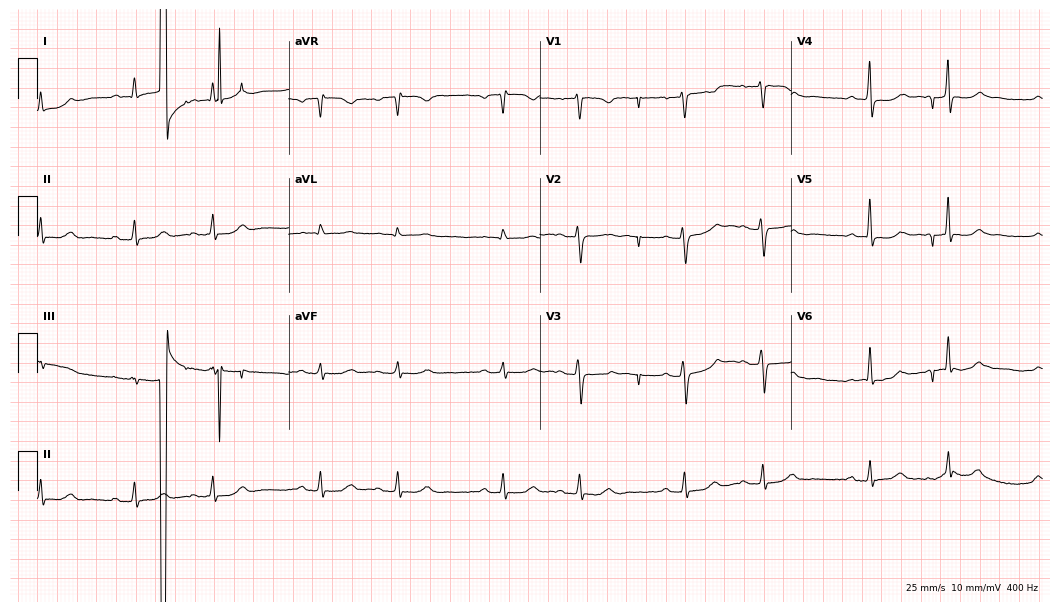
Electrocardiogram, a 48-year-old female. Of the six screened findings (first-degree AV block, right bundle branch block, left bundle branch block, sinus bradycardia, atrial fibrillation, sinus tachycardia), none is recorded.